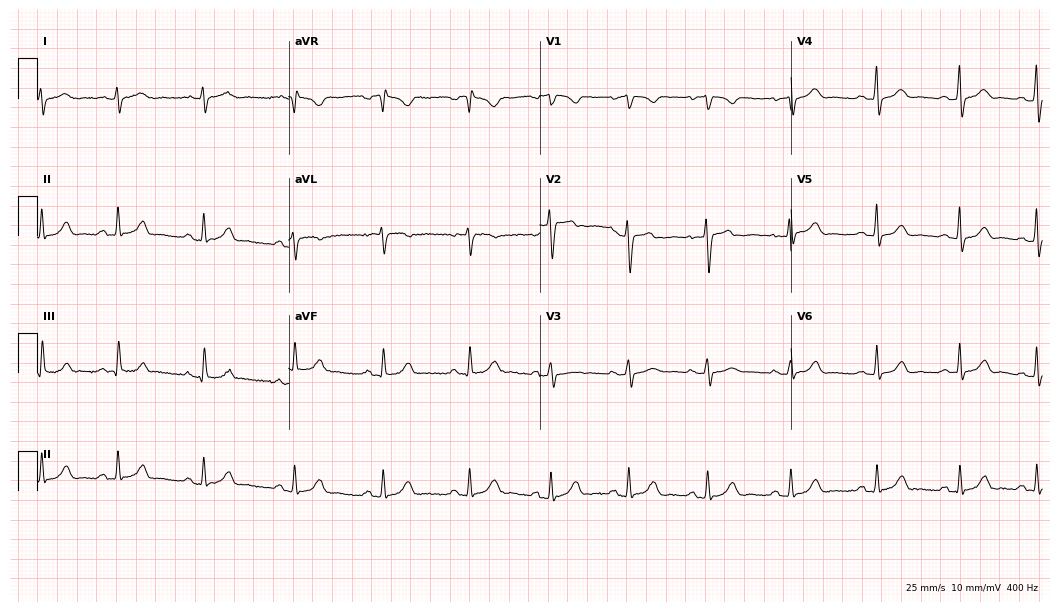
ECG — a 29-year-old female patient. Screened for six findings — first-degree AV block, right bundle branch block, left bundle branch block, sinus bradycardia, atrial fibrillation, sinus tachycardia — none is recorded. Other findings, if any, are not listed.